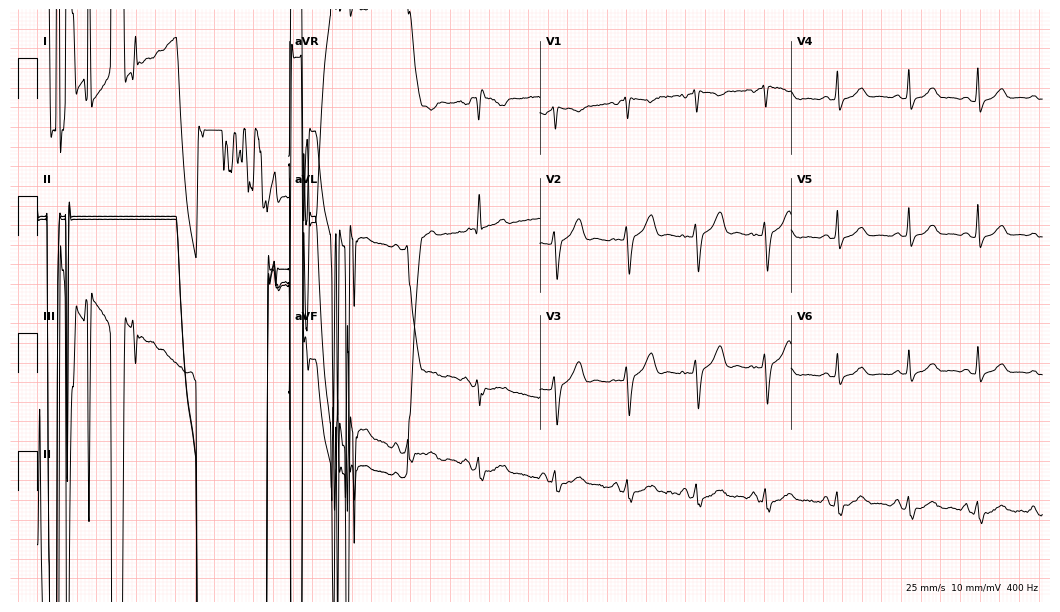
Electrocardiogram (10.2-second recording at 400 Hz), a 17-year-old woman. Of the six screened findings (first-degree AV block, right bundle branch block (RBBB), left bundle branch block (LBBB), sinus bradycardia, atrial fibrillation (AF), sinus tachycardia), none is recorded. Other findings, if any, are not listed.